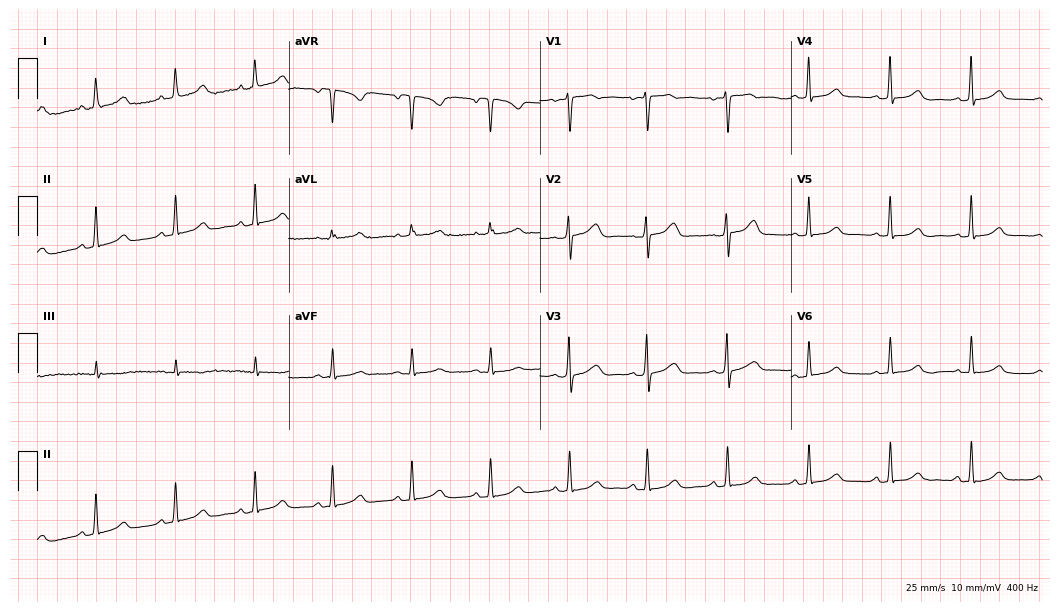
Standard 12-lead ECG recorded from a female patient, 34 years old. Read as a normal ECG.